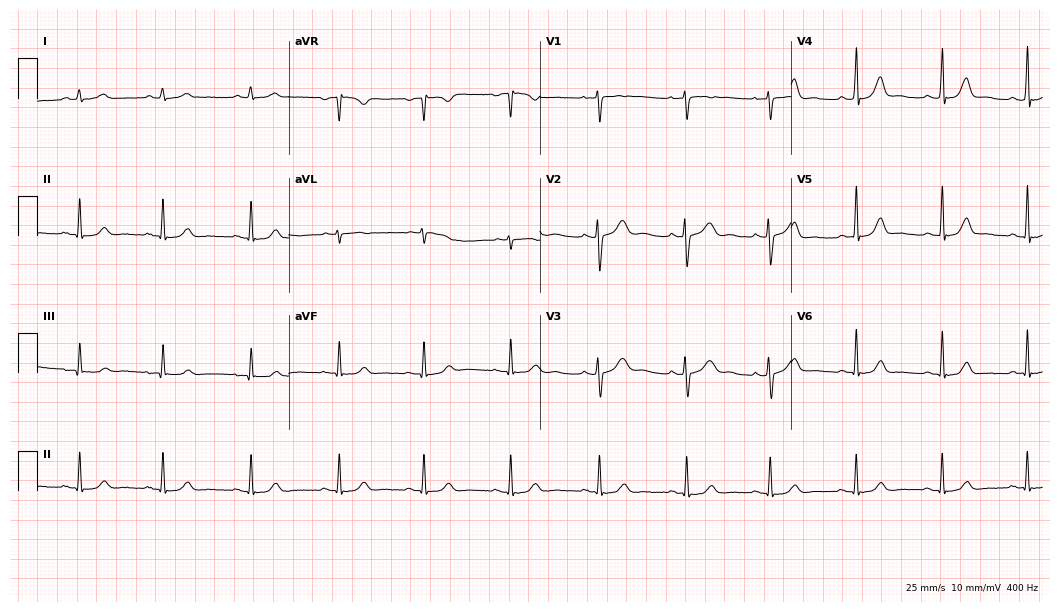
Resting 12-lead electrocardiogram. Patient: a woman, 18 years old. Read as a normal ECG.